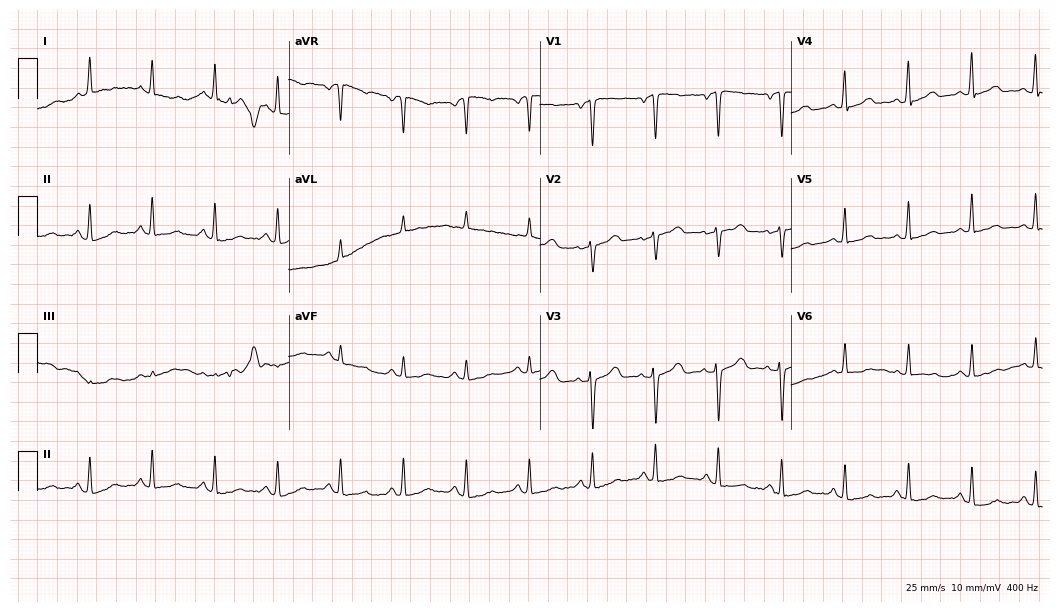
Electrocardiogram (10.2-second recording at 400 Hz), a woman, 61 years old. Of the six screened findings (first-degree AV block, right bundle branch block (RBBB), left bundle branch block (LBBB), sinus bradycardia, atrial fibrillation (AF), sinus tachycardia), none is recorded. Only these six findings were labelled.